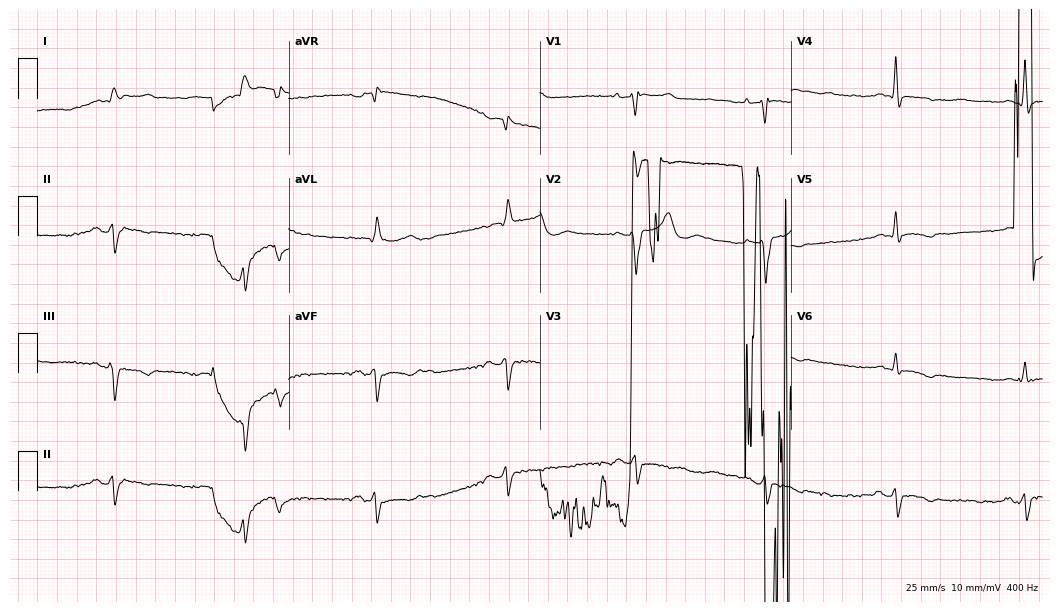
12-lead ECG from a male, 84 years old (10.2-second recording at 400 Hz). No first-degree AV block, right bundle branch block, left bundle branch block, sinus bradycardia, atrial fibrillation or sinus tachycardia recorded for this tracing. Only these six findings were labelled.